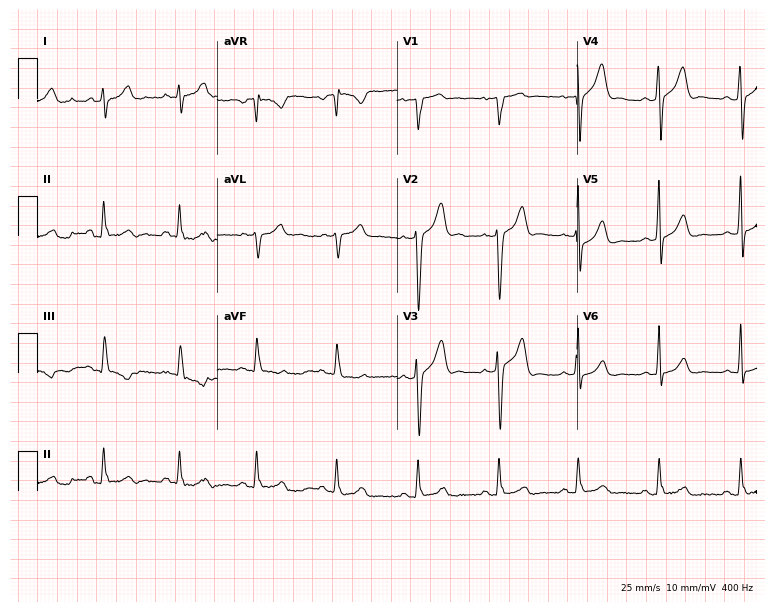
Resting 12-lead electrocardiogram. Patient: a male, 20 years old. None of these six findings is recorded: first-degree AV block, right bundle branch block (RBBB), left bundle branch block (LBBB), sinus bradycardia, atrial fibrillation (AF), sinus tachycardia.